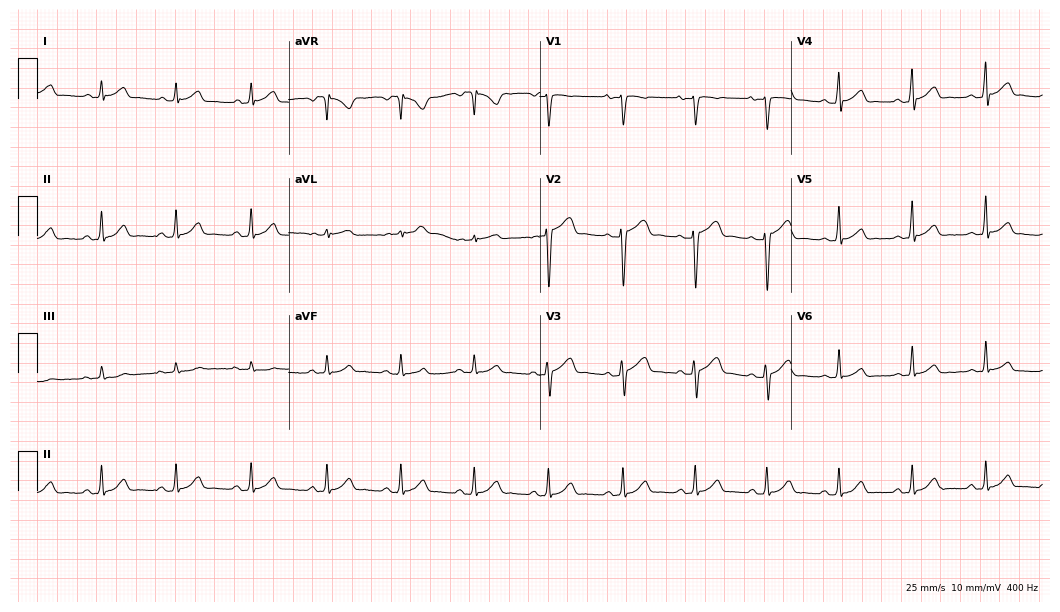
12-lead ECG from a 20-year-old male patient. Labelled as a normal ECG.